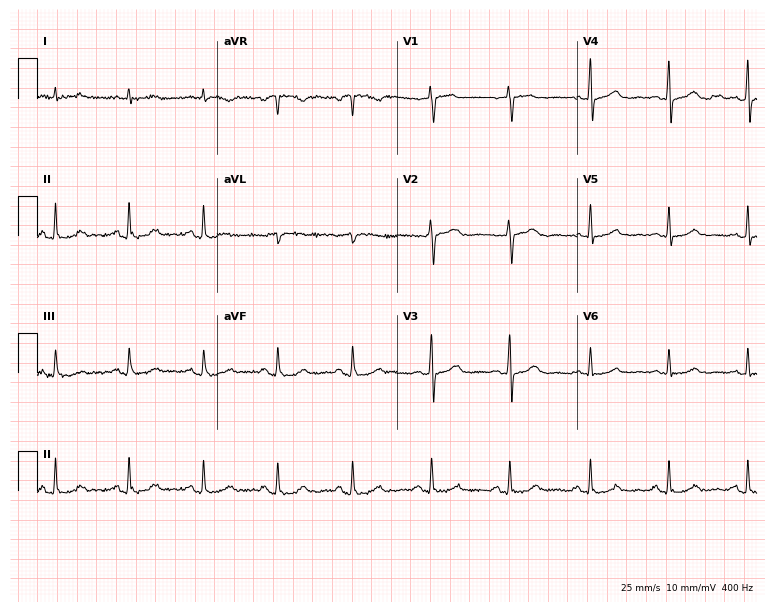
ECG (7.3-second recording at 400 Hz) — a female patient, 40 years old. Labelled as a normal ECG.